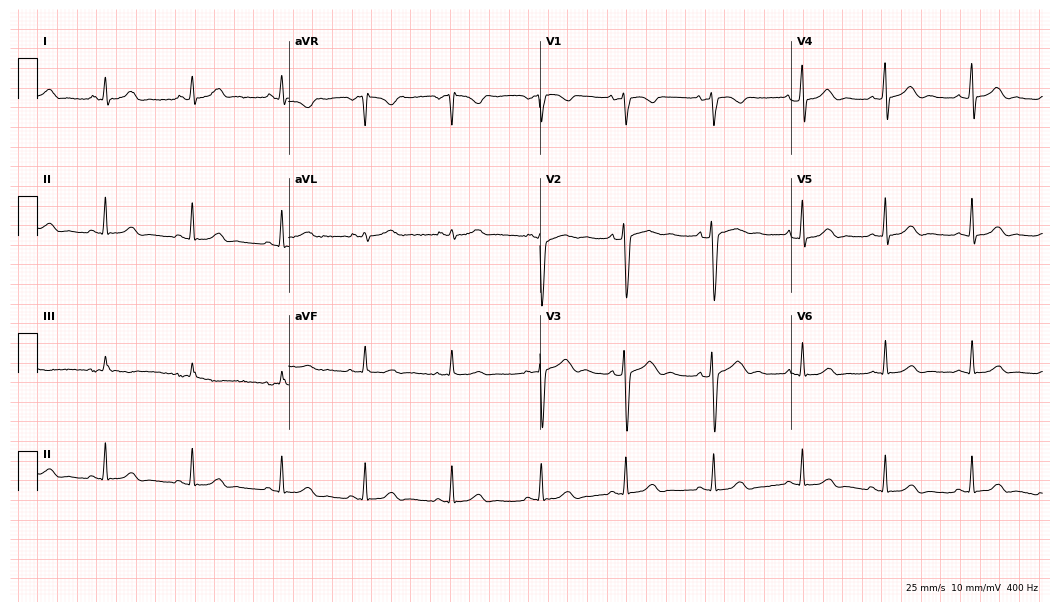
Standard 12-lead ECG recorded from a woman, 30 years old. None of these six findings is recorded: first-degree AV block, right bundle branch block, left bundle branch block, sinus bradycardia, atrial fibrillation, sinus tachycardia.